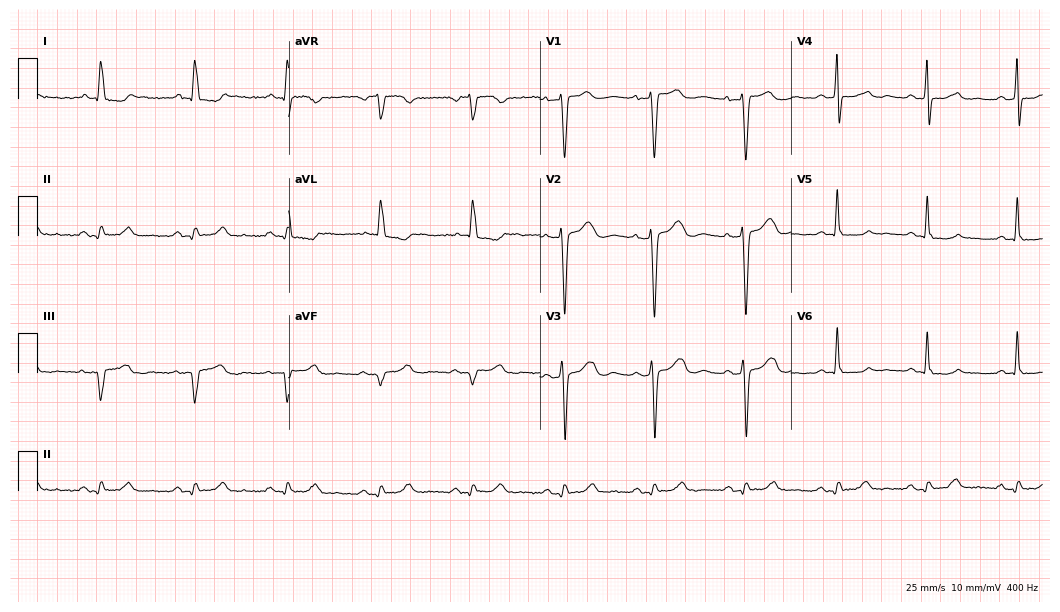
12-lead ECG (10.2-second recording at 400 Hz) from a female patient, 54 years old. Screened for six findings — first-degree AV block, right bundle branch block (RBBB), left bundle branch block (LBBB), sinus bradycardia, atrial fibrillation (AF), sinus tachycardia — none is recorded.